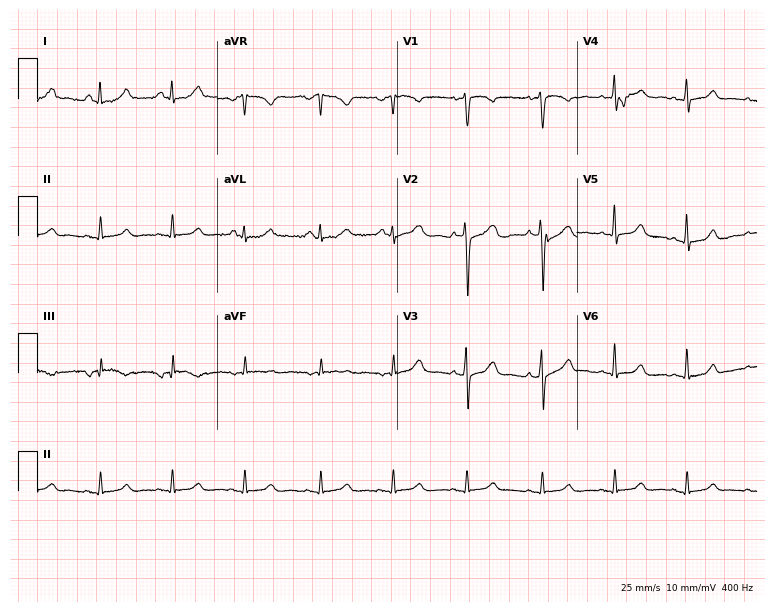
Electrocardiogram (7.3-second recording at 400 Hz), a woman, 36 years old. Of the six screened findings (first-degree AV block, right bundle branch block (RBBB), left bundle branch block (LBBB), sinus bradycardia, atrial fibrillation (AF), sinus tachycardia), none is recorded.